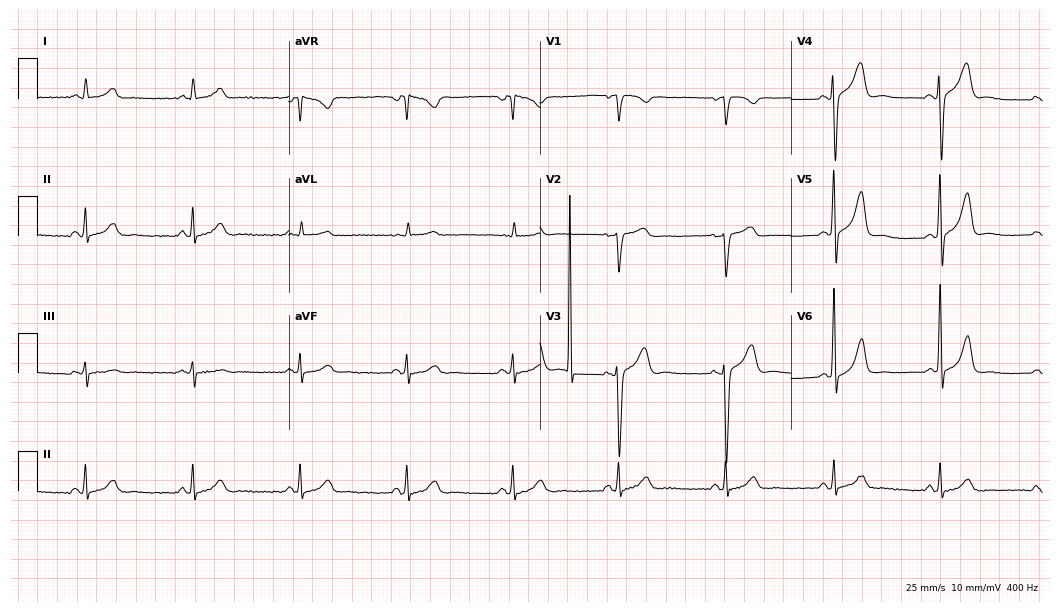
12-lead ECG from a female, 47 years old. Recorded interpretation: within normal limits.